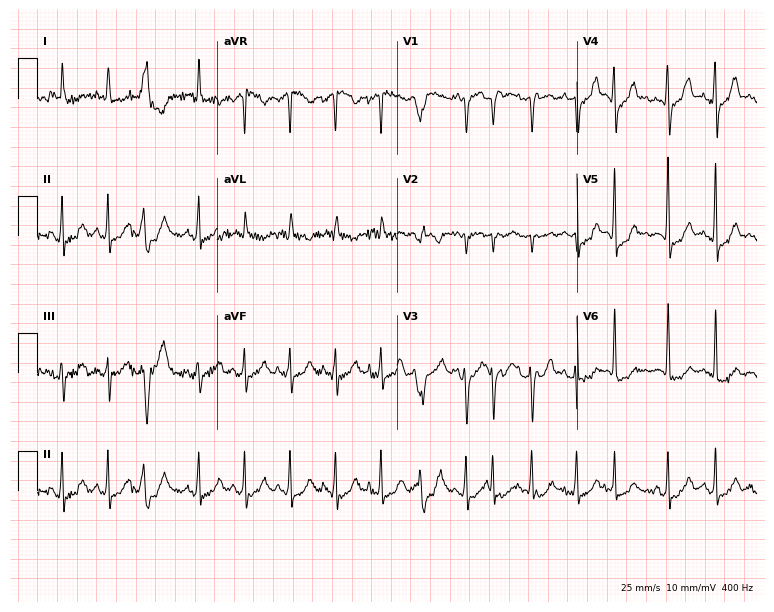
ECG — a 76-year-old female. Findings include sinus tachycardia (a sinus rate of 100 beats per minute or more).